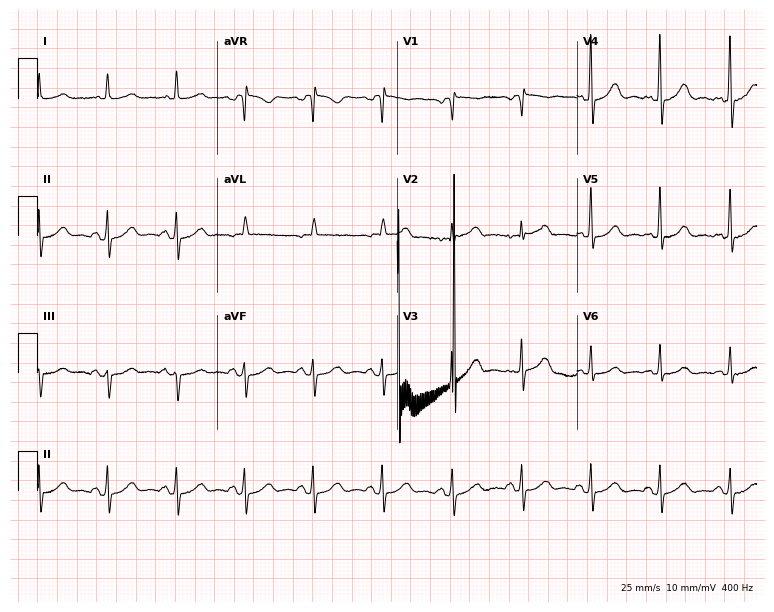
Standard 12-lead ECG recorded from a 64-year-old male patient (7.3-second recording at 400 Hz). Read as a normal ECG.